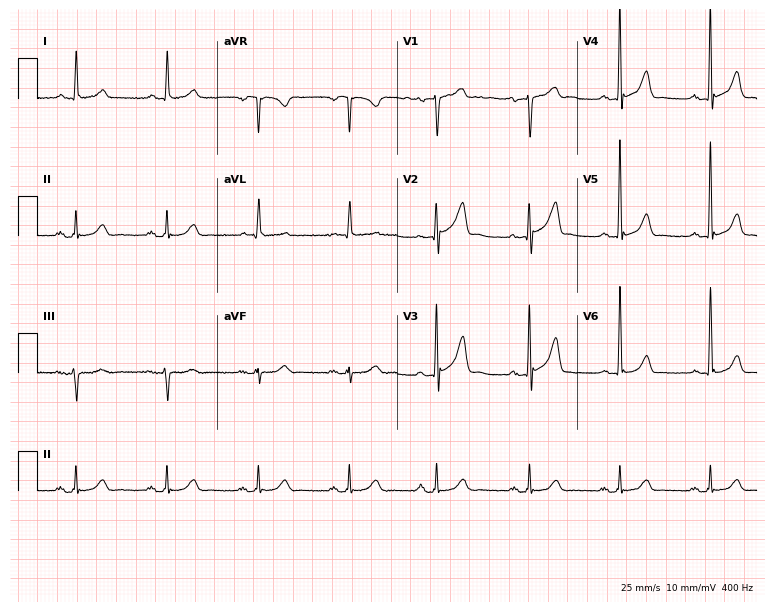
Resting 12-lead electrocardiogram (7.3-second recording at 400 Hz). Patient: an 81-year-old male. None of these six findings is recorded: first-degree AV block, right bundle branch block, left bundle branch block, sinus bradycardia, atrial fibrillation, sinus tachycardia.